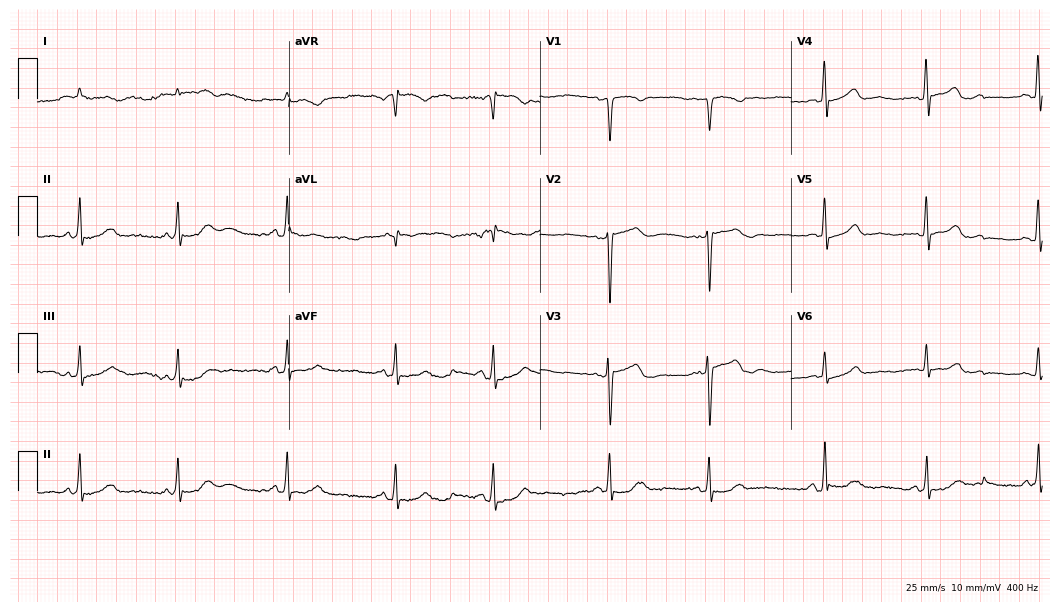
Resting 12-lead electrocardiogram (10.2-second recording at 400 Hz). Patient: a man, 60 years old. None of these six findings is recorded: first-degree AV block, right bundle branch block (RBBB), left bundle branch block (LBBB), sinus bradycardia, atrial fibrillation (AF), sinus tachycardia.